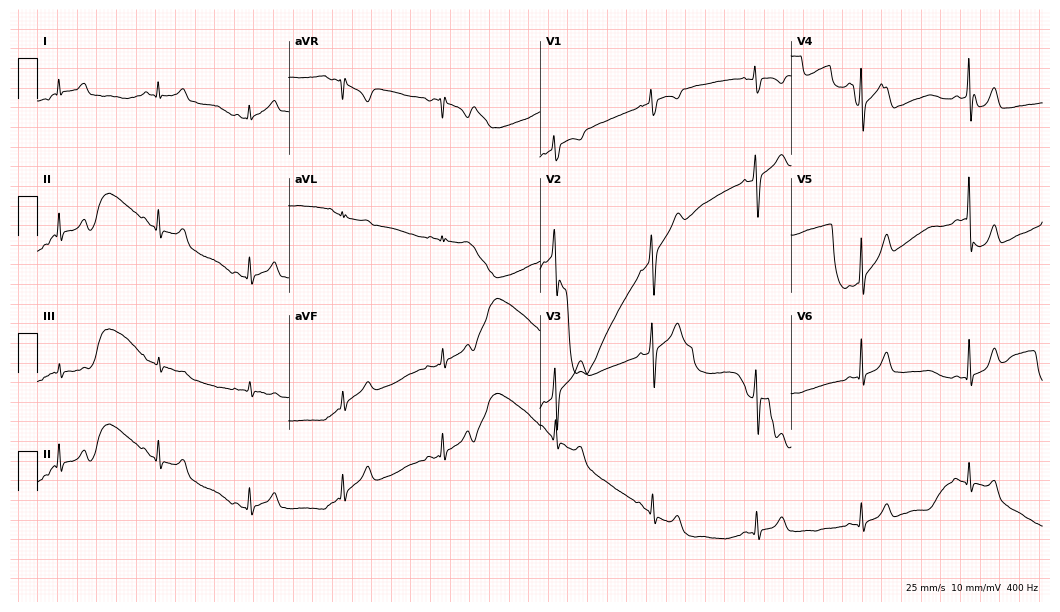
12-lead ECG (10.2-second recording at 400 Hz) from a female patient, 21 years old. Labelled as a normal ECG.